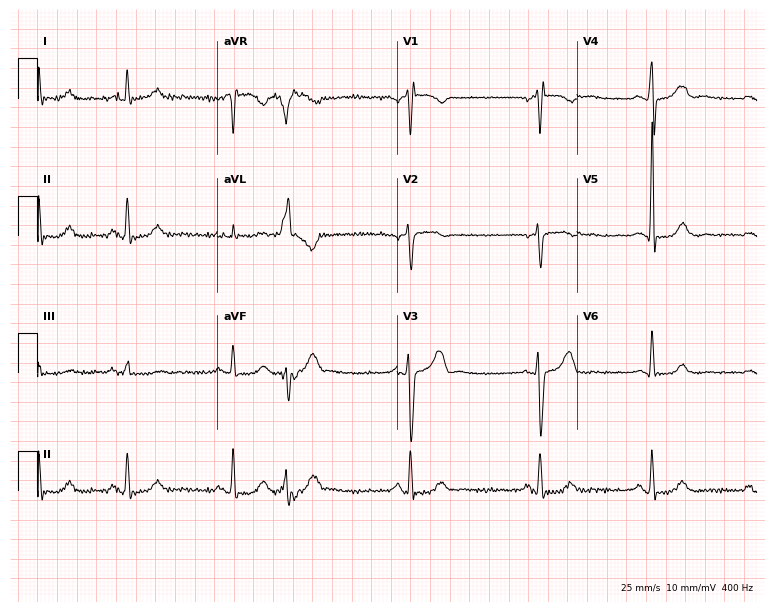
ECG (7.3-second recording at 400 Hz) — a male patient, 80 years old. Screened for six findings — first-degree AV block, right bundle branch block (RBBB), left bundle branch block (LBBB), sinus bradycardia, atrial fibrillation (AF), sinus tachycardia — none is recorded. Findings outside these six are not listed.